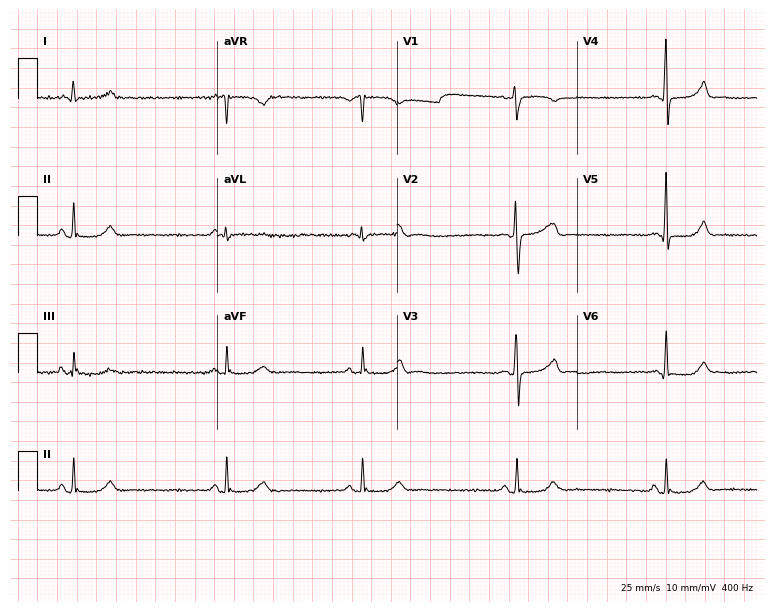
12-lead ECG (7.3-second recording at 400 Hz) from a 55-year-old male. Findings include sinus bradycardia (a sinus rate of 50 beats per minute or less).